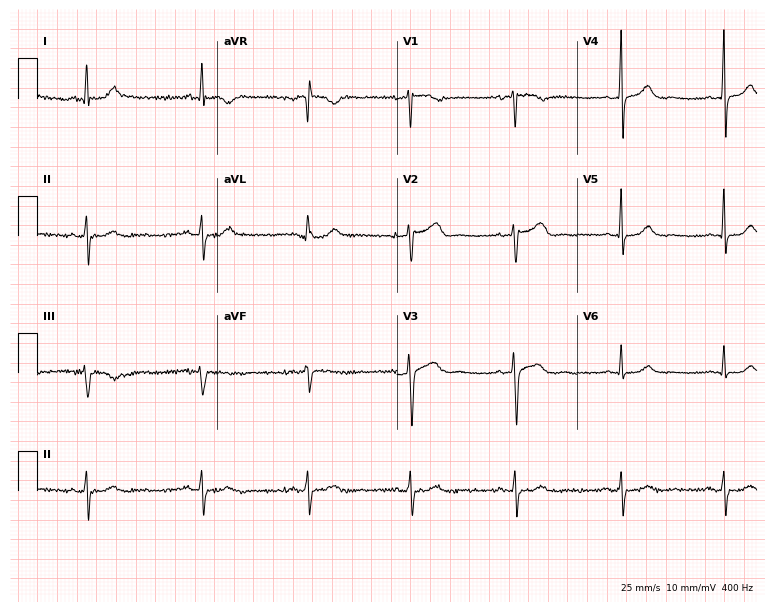
12-lead ECG from a 52-year-old female. Labelled as a normal ECG.